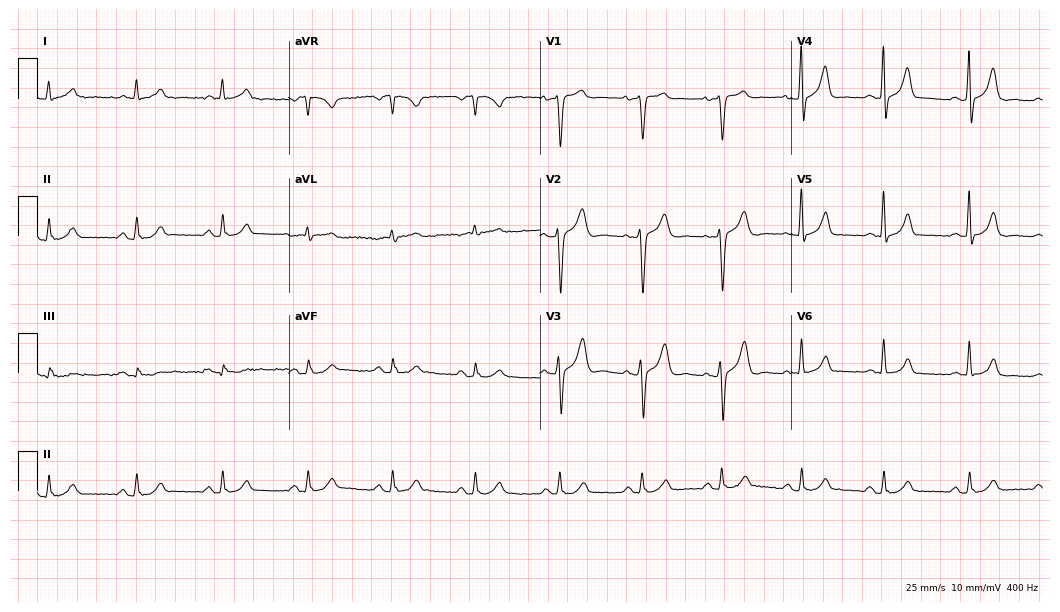
12-lead ECG from a 54-year-old man. Labelled as a normal ECG.